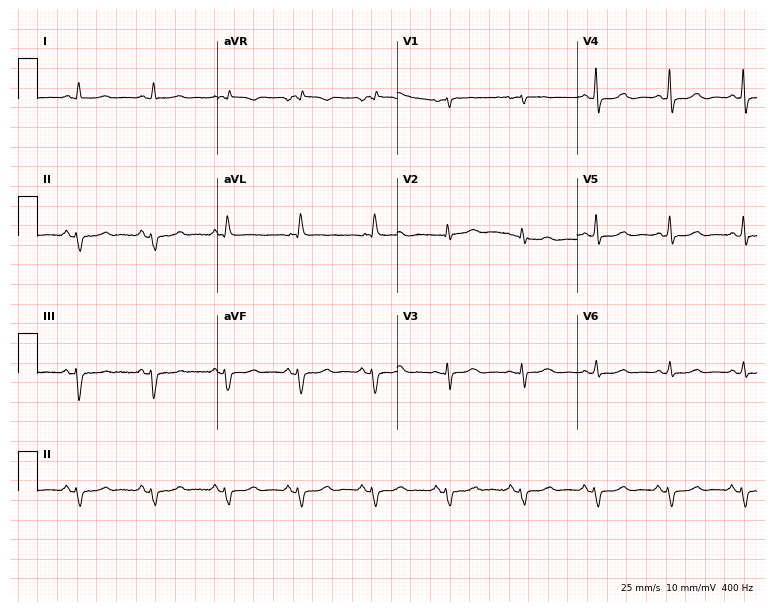
Resting 12-lead electrocardiogram (7.3-second recording at 400 Hz). Patient: an 84-year-old female. None of these six findings is recorded: first-degree AV block, right bundle branch block (RBBB), left bundle branch block (LBBB), sinus bradycardia, atrial fibrillation (AF), sinus tachycardia.